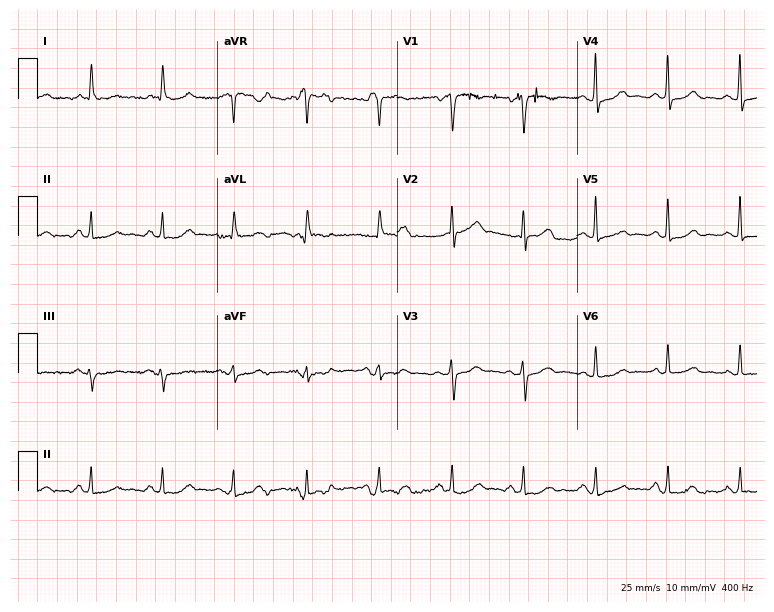
Electrocardiogram, a male, 70 years old. Overall reading on record: normal ECG.